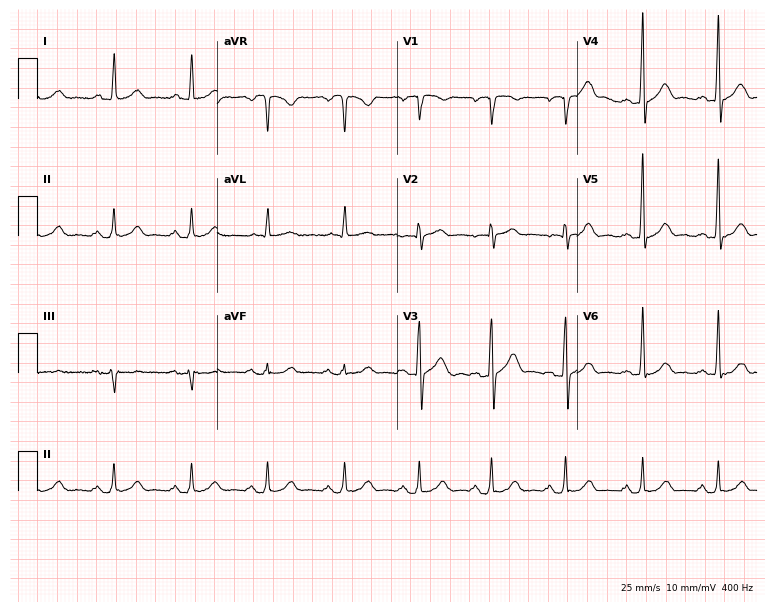
ECG — a female, 49 years old. Labelled as a normal ECG.